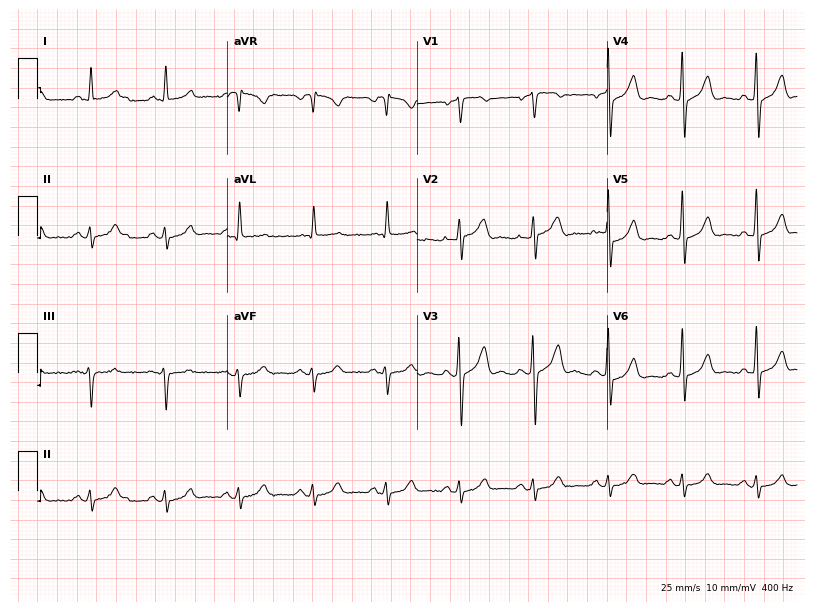
Standard 12-lead ECG recorded from a 76-year-old male. Read as a normal ECG.